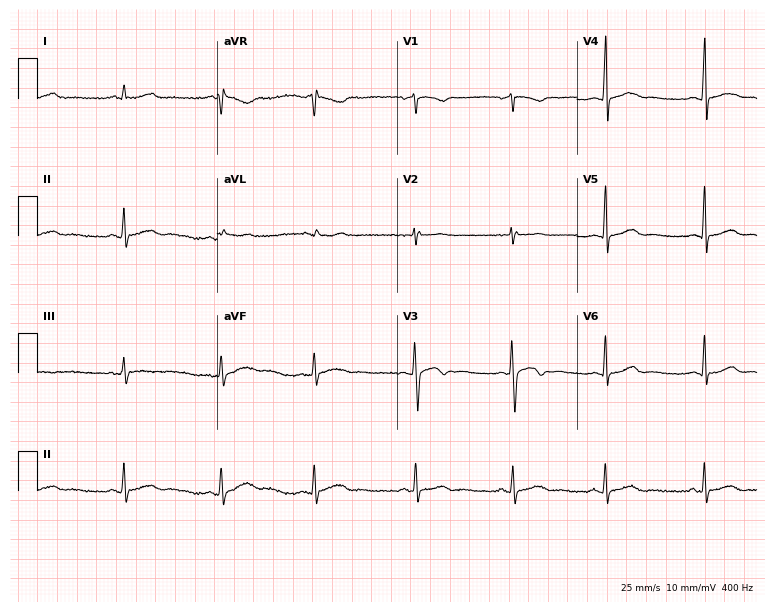
Resting 12-lead electrocardiogram. Patient: a 20-year-old woman. Read as a normal ECG.